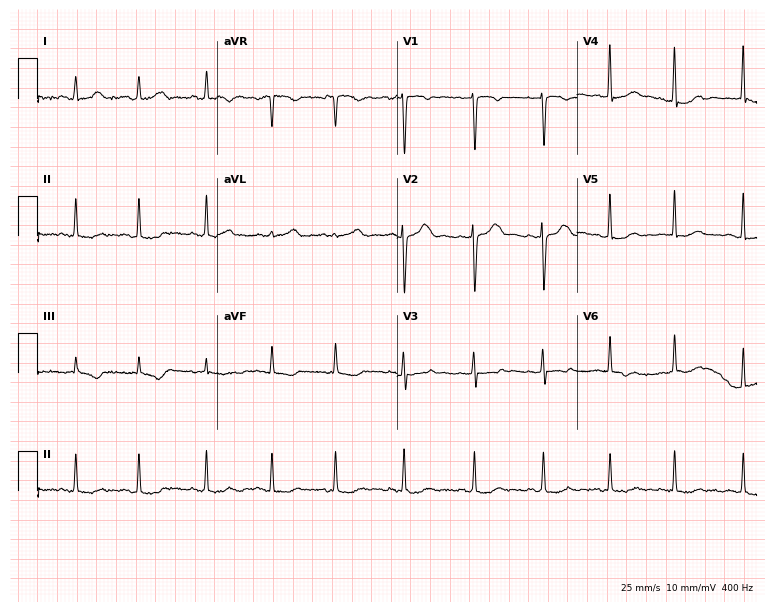
Electrocardiogram (7.3-second recording at 400 Hz), a 19-year-old female patient. Of the six screened findings (first-degree AV block, right bundle branch block, left bundle branch block, sinus bradycardia, atrial fibrillation, sinus tachycardia), none is recorded.